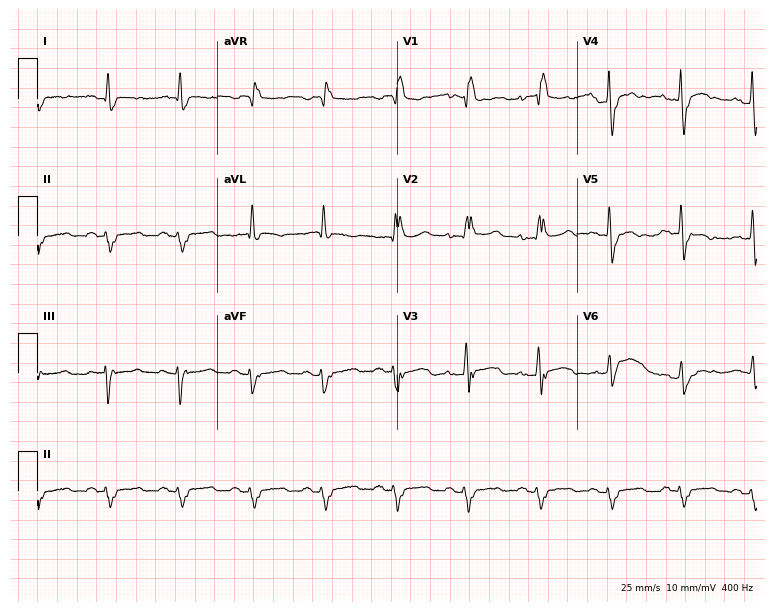
12-lead ECG from a 79-year-old man. Findings include right bundle branch block.